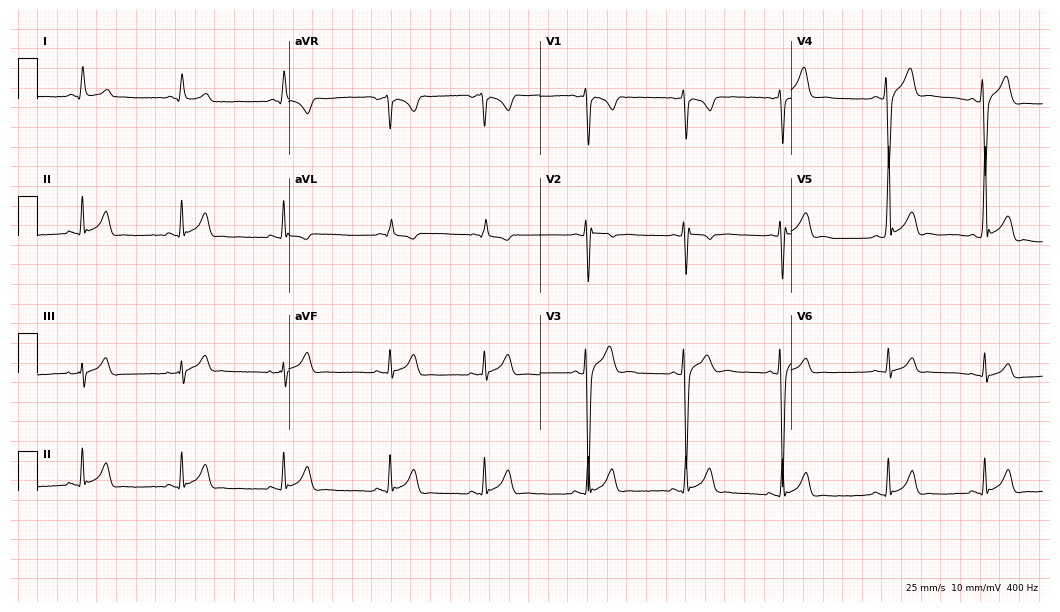
Resting 12-lead electrocardiogram (10.2-second recording at 400 Hz). Patient: a 17-year-old man. None of these six findings is recorded: first-degree AV block, right bundle branch block, left bundle branch block, sinus bradycardia, atrial fibrillation, sinus tachycardia. Other findings, if any, are not listed.